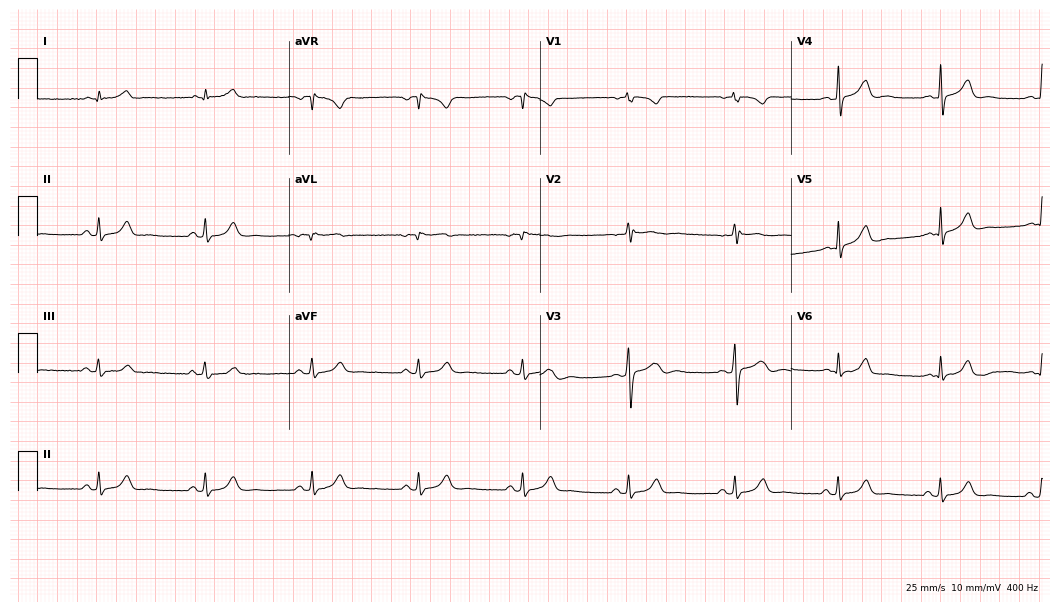
12-lead ECG from a woman, 57 years old. Recorded interpretation: within normal limits.